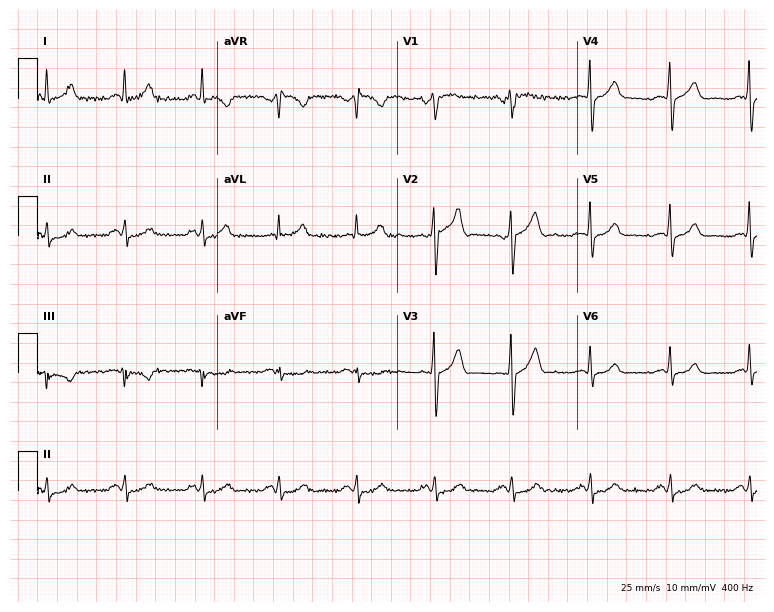
Resting 12-lead electrocardiogram. Patient: a 61-year-old male. Read as a normal ECG.